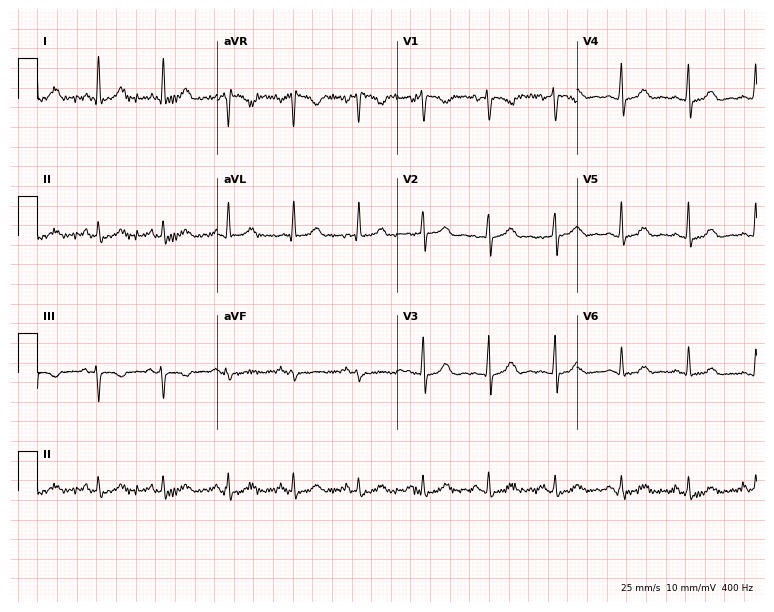
Standard 12-lead ECG recorded from a 46-year-old female patient. Read as a normal ECG.